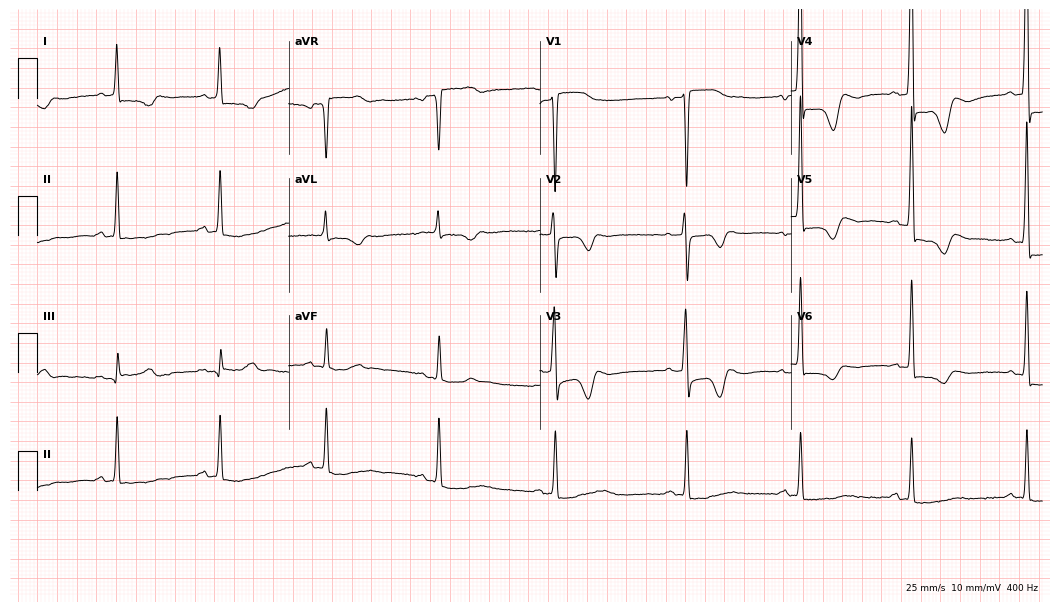
ECG (10.2-second recording at 400 Hz) — a female patient, 55 years old. Screened for six findings — first-degree AV block, right bundle branch block, left bundle branch block, sinus bradycardia, atrial fibrillation, sinus tachycardia — none is recorded. Findings outside these six are not listed.